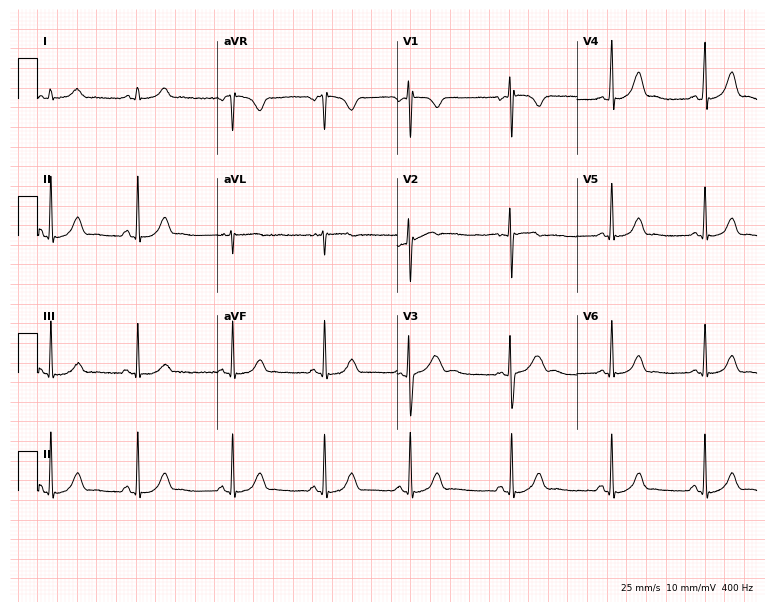
12-lead ECG from a female, 20 years old. No first-degree AV block, right bundle branch block, left bundle branch block, sinus bradycardia, atrial fibrillation or sinus tachycardia recorded for this tracing.